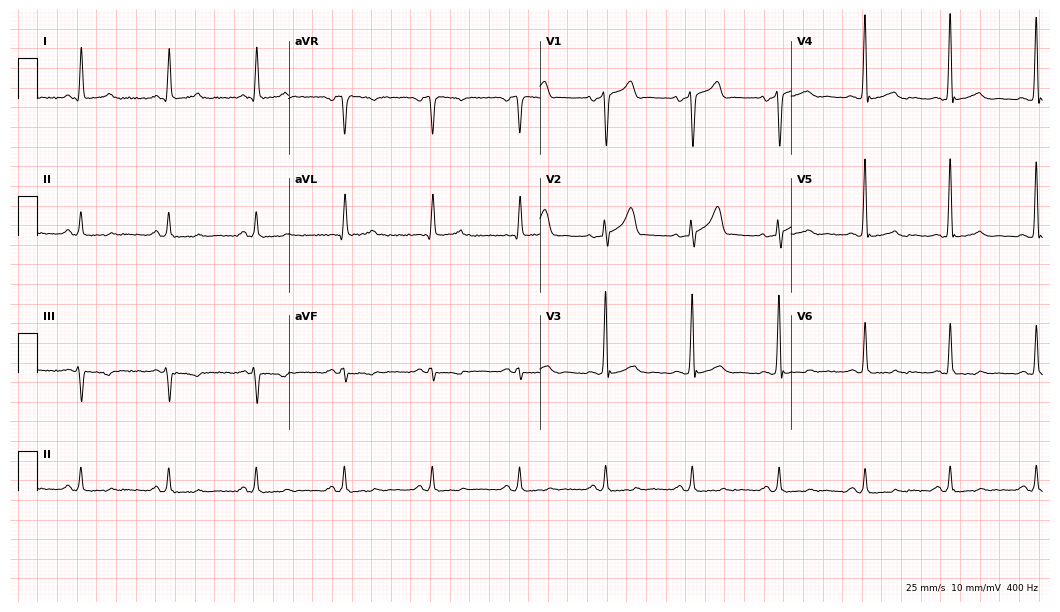
Electrocardiogram, a male, 60 years old. Overall reading on record: normal ECG.